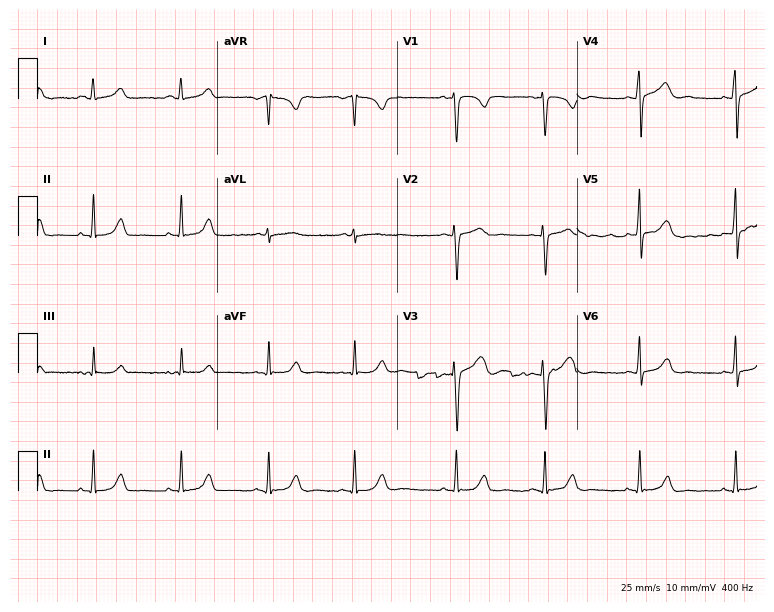
Electrocardiogram, a female, 23 years old. Of the six screened findings (first-degree AV block, right bundle branch block (RBBB), left bundle branch block (LBBB), sinus bradycardia, atrial fibrillation (AF), sinus tachycardia), none is recorded. Findings outside these six are not listed.